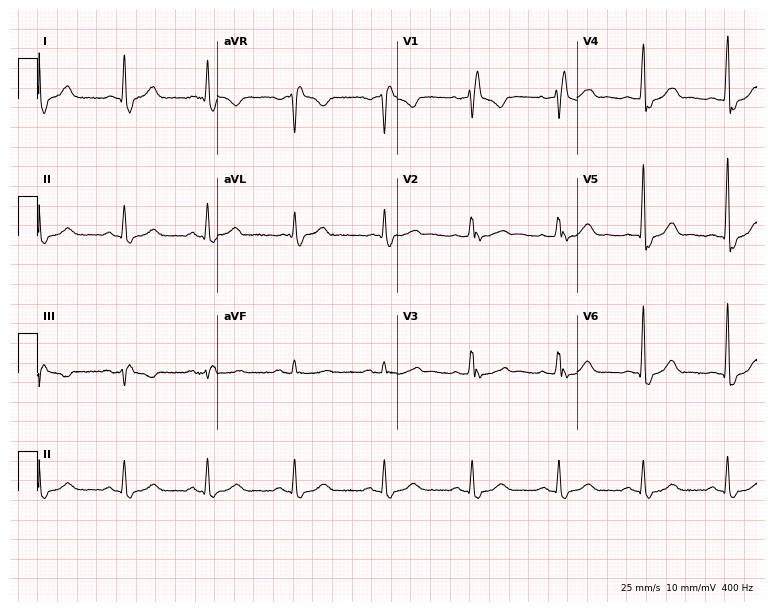
Standard 12-lead ECG recorded from a female patient, 61 years old (7.3-second recording at 400 Hz). The tracing shows right bundle branch block.